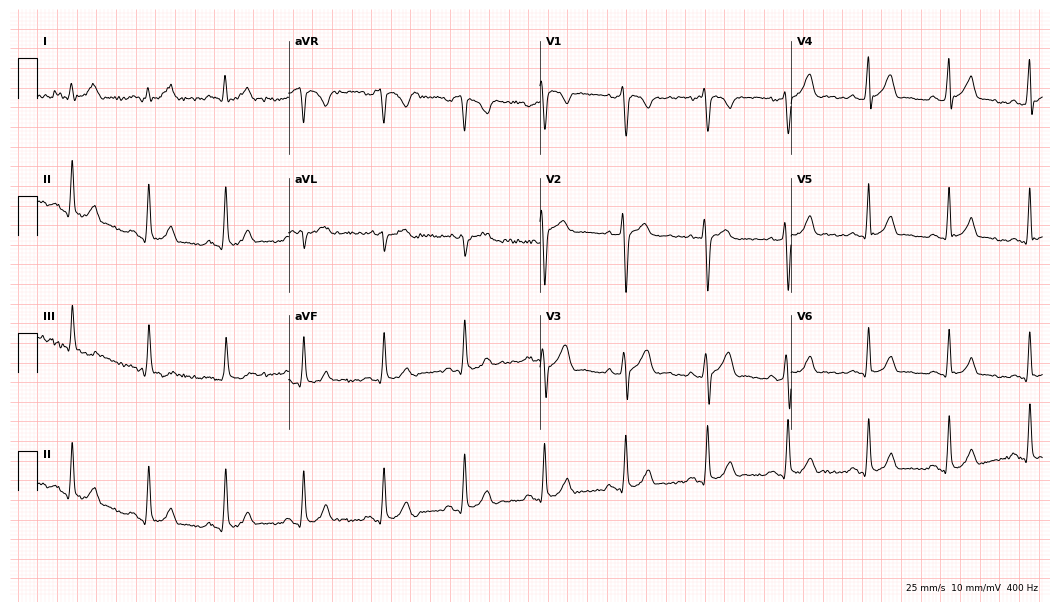
Resting 12-lead electrocardiogram. Patient: a man, 37 years old. None of these six findings is recorded: first-degree AV block, right bundle branch block, left bundle branch block, sinus bradycardia, atrial fibrillation, sinus tachycardia. Other findings, if any, are not listed.